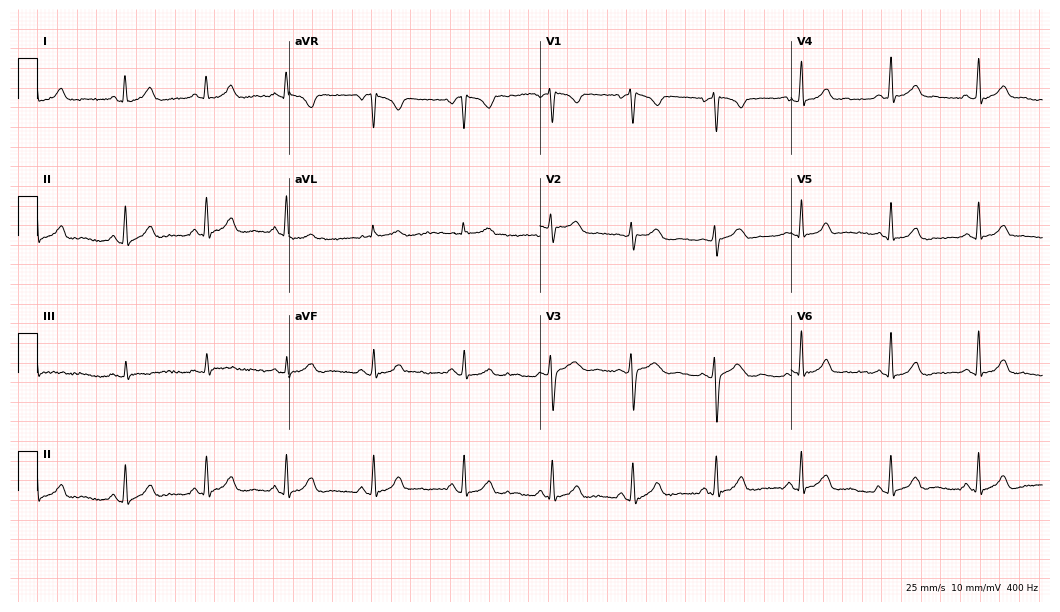
Electrocardiogram, a female patient, 33 years old. Overall reading on record: normal ECG.